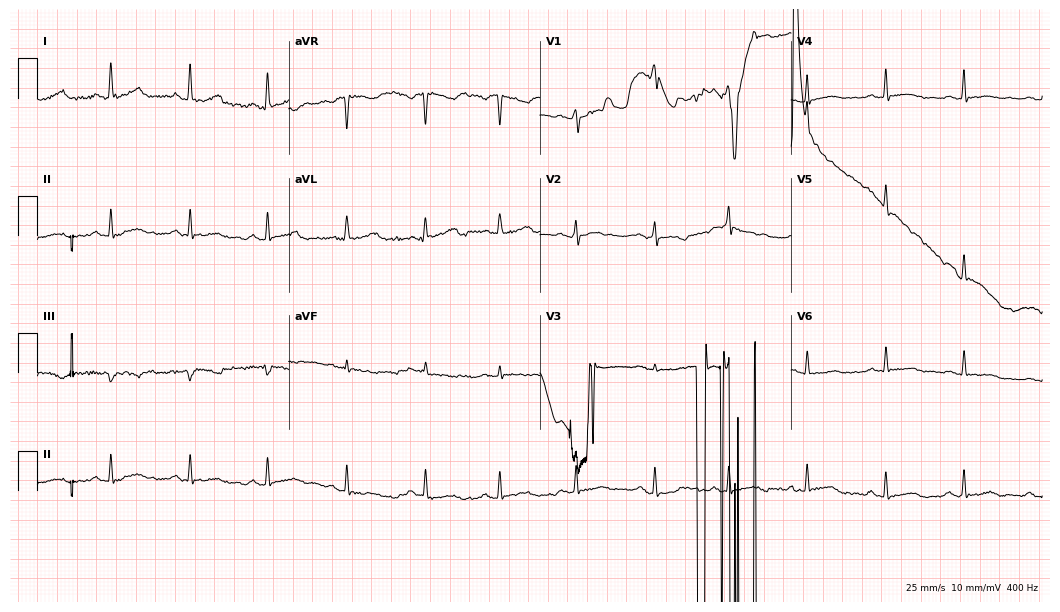
12-lead ECG from a 36-year-old woman. Screened for six findings — first-degree AV block, right bundle branch block (RBBB), left bundle branch block (LBBB), sinus bradycardia, atrial fibrillation (AF), sinus tachycardia — none is recorded. Only these six findings were labelled.